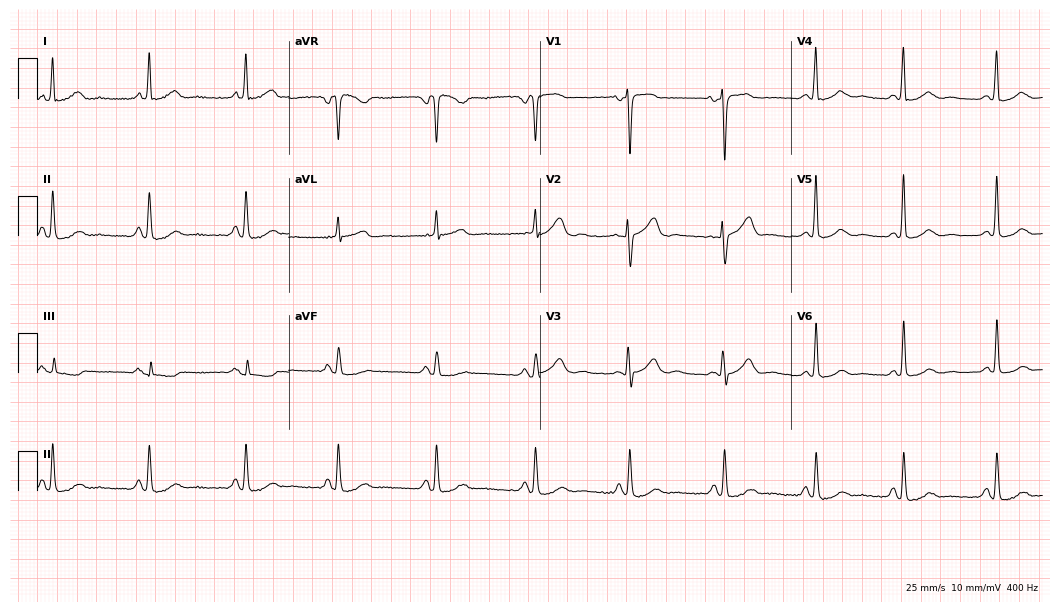
Electrocardiogram, a 54-year-old female patient. Overall reading on record: normal ECG.